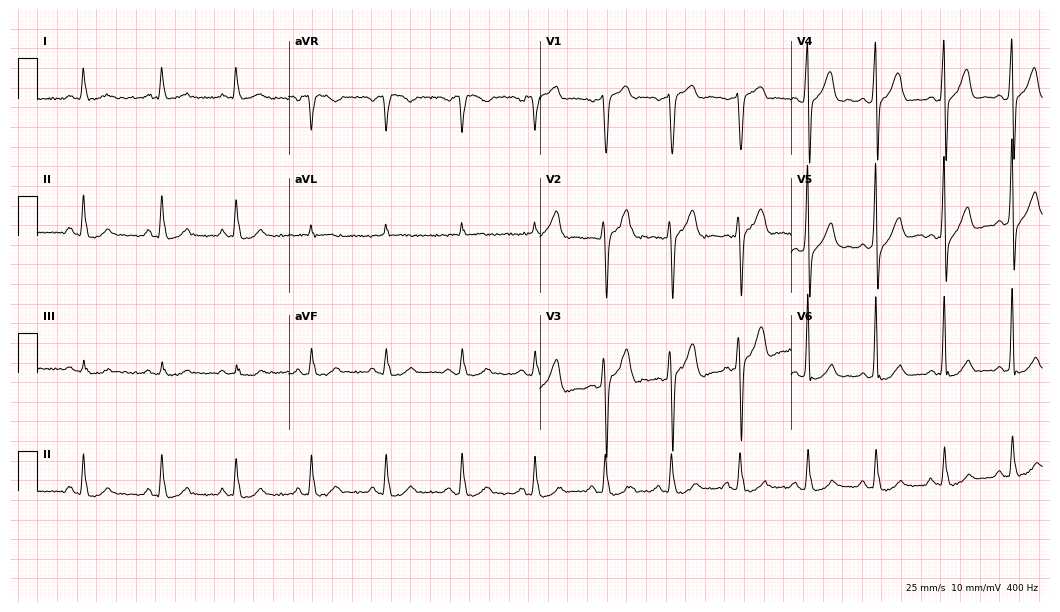
12-lead ECG from a 49-year-old male patient (10.2-second recording at 400 Hz). Recorded interpretation: within normal limits.